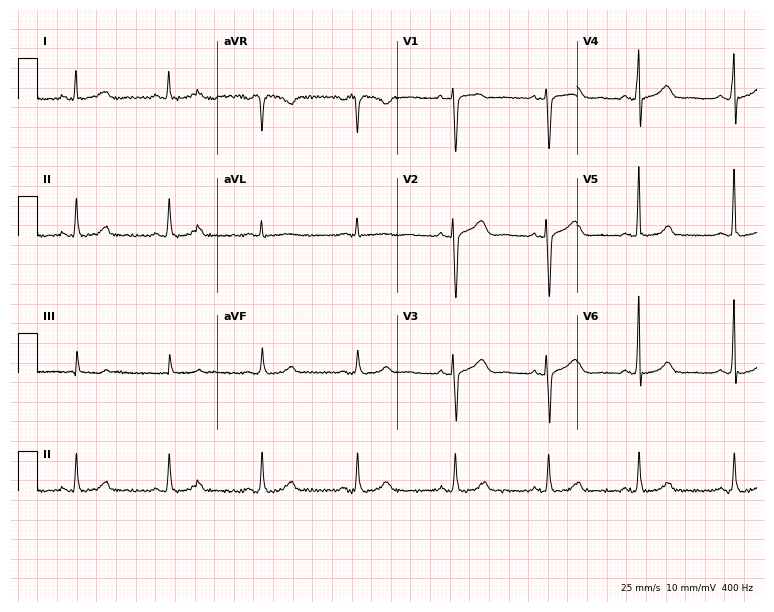
12-lead ECG from a 45-year-old female patient (7.3-second recording at 400 Hz). No first-degree AV block, right bundle branch block, left bundle branch block, sinus bradycardia, atrial fibrillation or sinus tachycardia recorded for this tracing. Only these six findings were labelled.